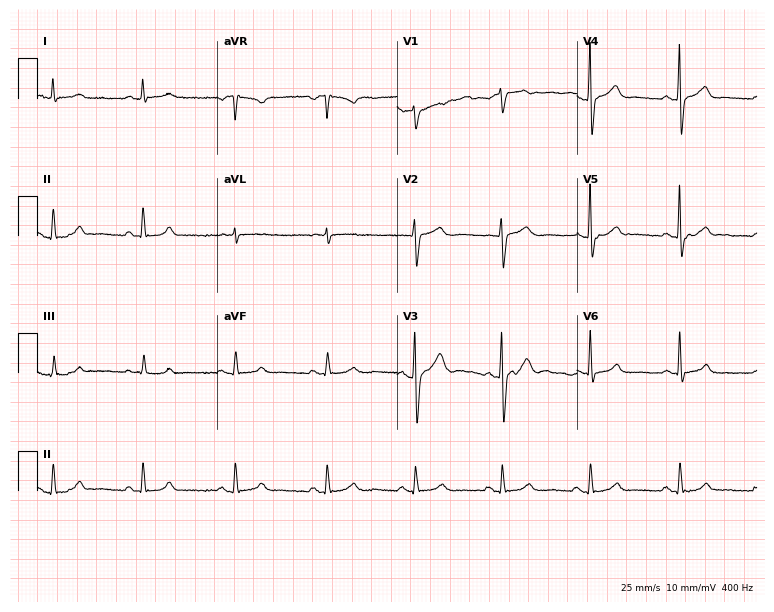
Resting 12-lead electrocardiogram (7.3-second recording at 400 Hz). Patient: a man, 40 years old. Read as a normal ECG.